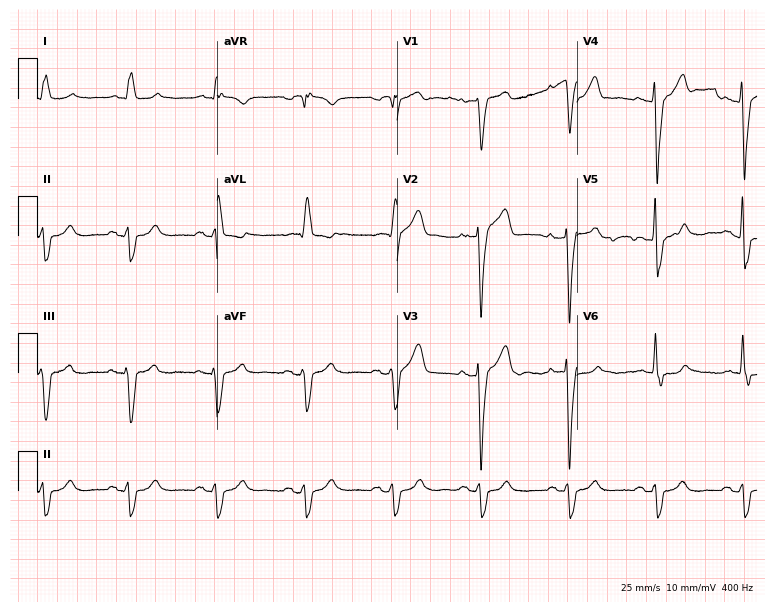
ECG — a 75-year-old man. Findings include left bundle branch block.